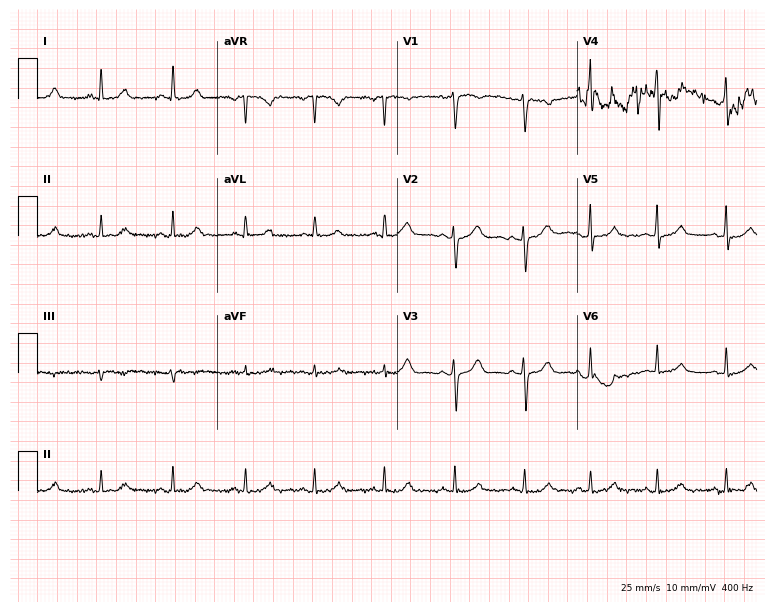
Resting 12-lead electrocardiogram. Patient: a 40-year-old female. None of these six findings is recorded: first-degree AV block, right bundle branch block, left bundle branch block, sinus bradycardia, atrial fibrillation, sinus tachycardia.